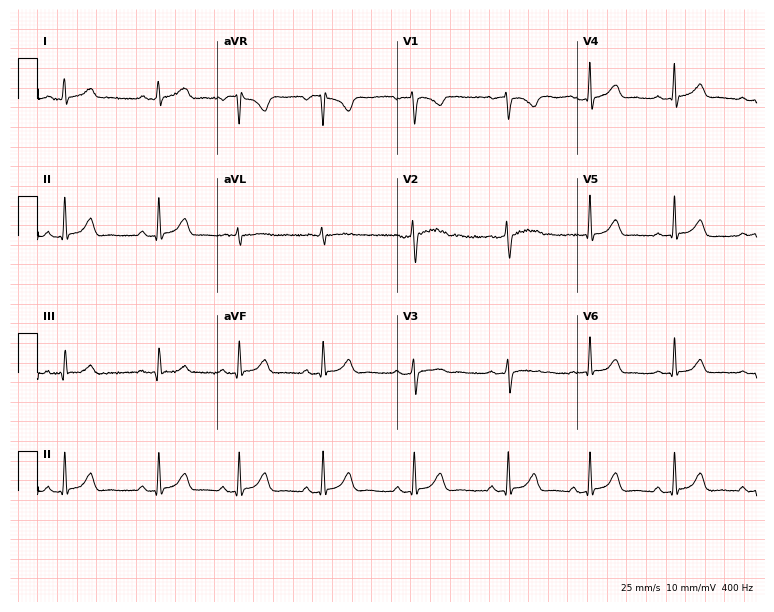
Resting 12-lead electrocardiogram (7.3-second recording at 400 Hz). Patient: a 23-year-old female. Read as a normal ECG.